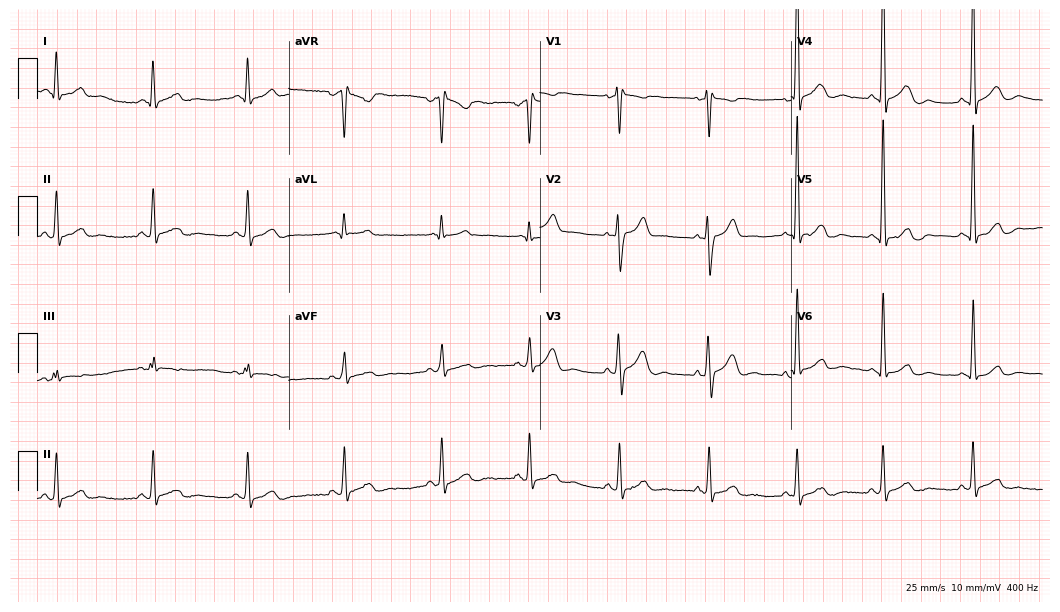
Resting 12-lead electrocardiogram (10.2-second recording at 400 Hz). Patient: a male, 53 years old. Read as a normal ECG.